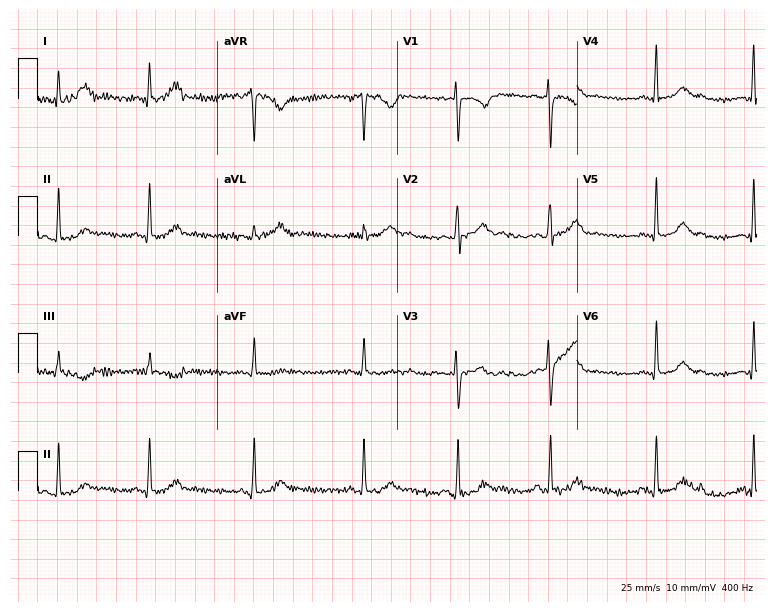
12-lead ECG (7.3-second recording at 400 Hz) from a female patient, 28 years old. Screened for six findings — first-degree AV block, right bundle branch block, left bundle branch block, sinus bradycardia, atrial fibrillation, sinus tachycardia — none is recorded. Findings outside these six are not listed.